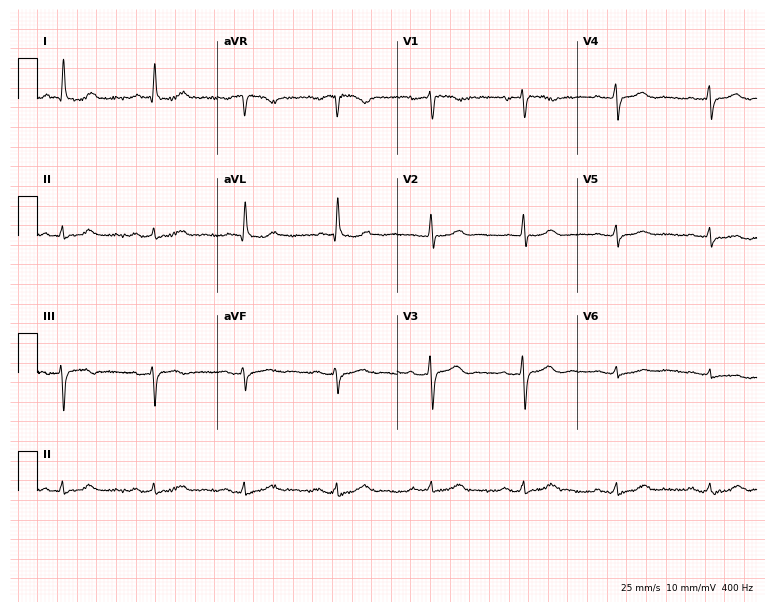
12-lead ECG from a female patient, 68 years old. Labelled as a normal ECG.